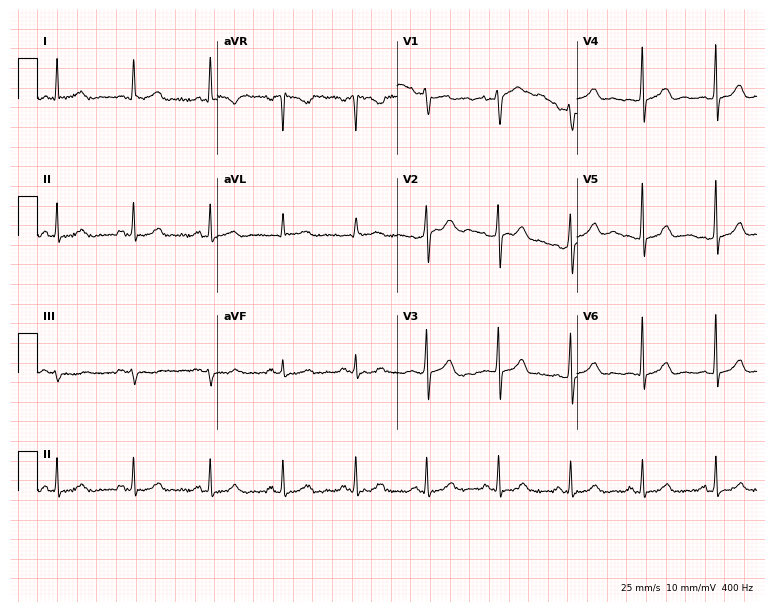
12-lead ECG from a woman, 49 years old (7.3-second recording at 400 Hz). No first-degree AV block, right bundle branch block, left bundle branch block, sinus bradycardia, atrial fibrillation or sinus tachycardia recorded for this tracing.